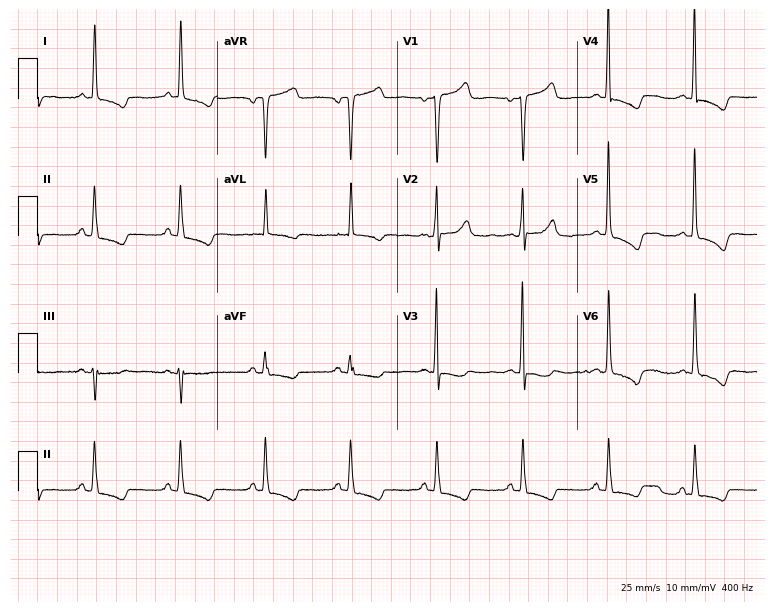
Resting 12-lead electrocardiogram (7.3-second recording at 400 Hz). Patient: a female, 46 years old. None of these six findings is recorded: first-degree AV block, right bundle branch block, left bundle branch block, sinus bradycardia, atrial fibrillation, sinus tachycardia. Only these six findings were labelled.